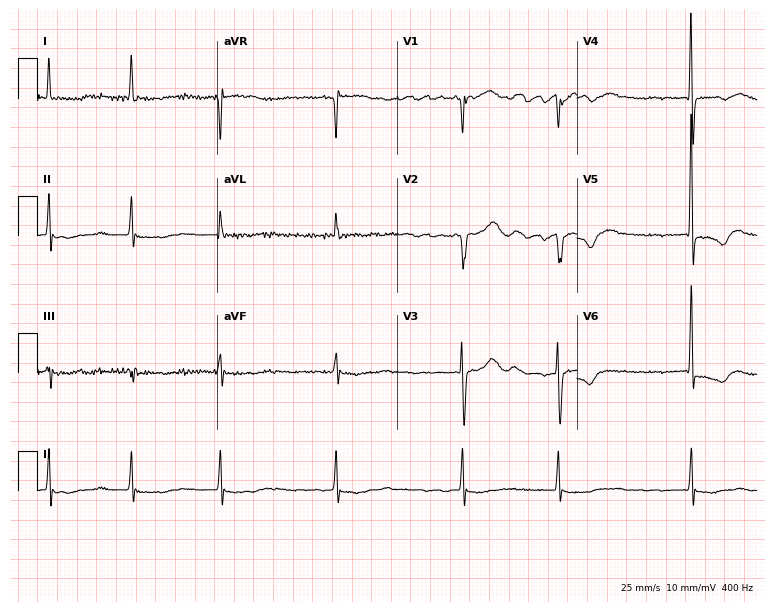
Resting 12-lead electrocardiogram. Patient: a 76-year-old female. The tracing shows atrial fibrillation.